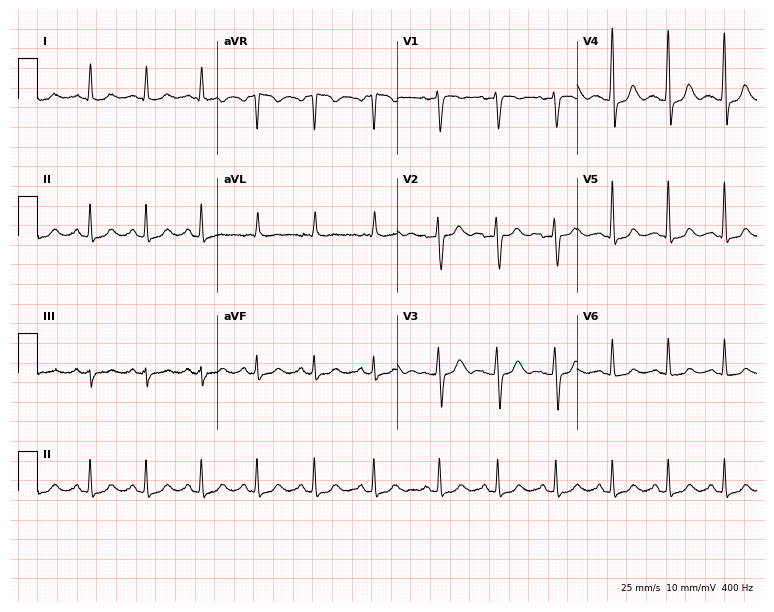
12-lead ECG from a female, 43 years old. Shows sinus tachycardia (a sinus rate of 100 beats per minute or more).